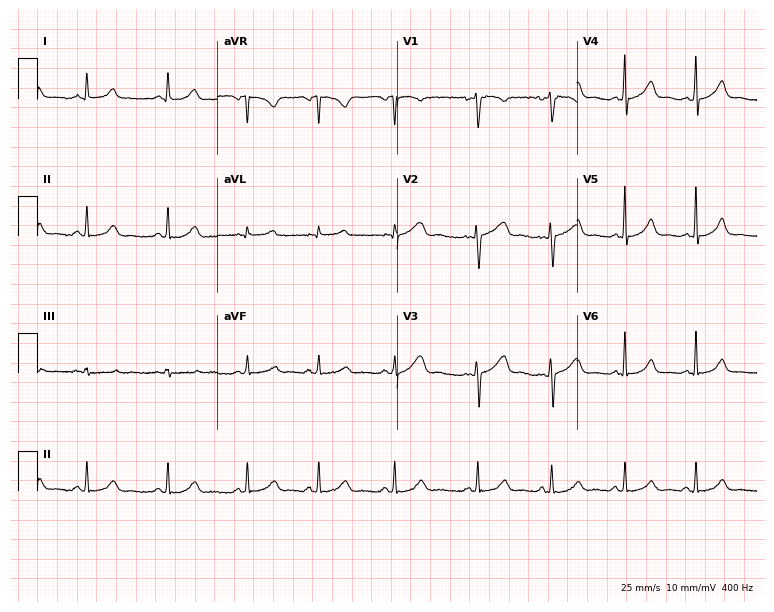
Resting 12-lead electrocardiogram (7.3-second recording at 400 Hz). Patient: a 25-year-old woman. Read as a normal ECG.